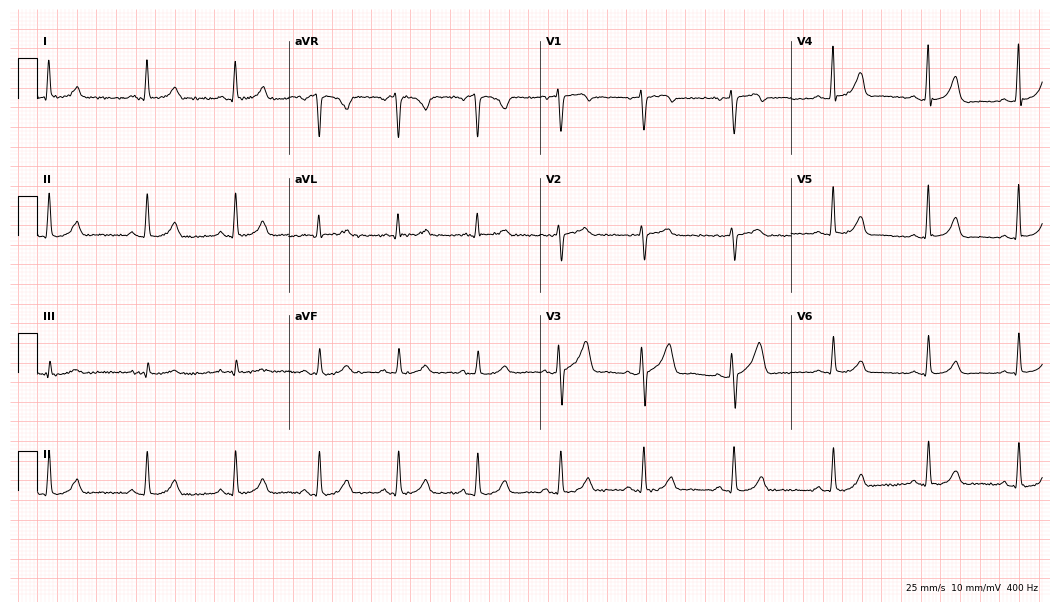
ECG (10.2-second recording at 400 Hz) — a female, 53 years old. Labelled as a normal ECG.